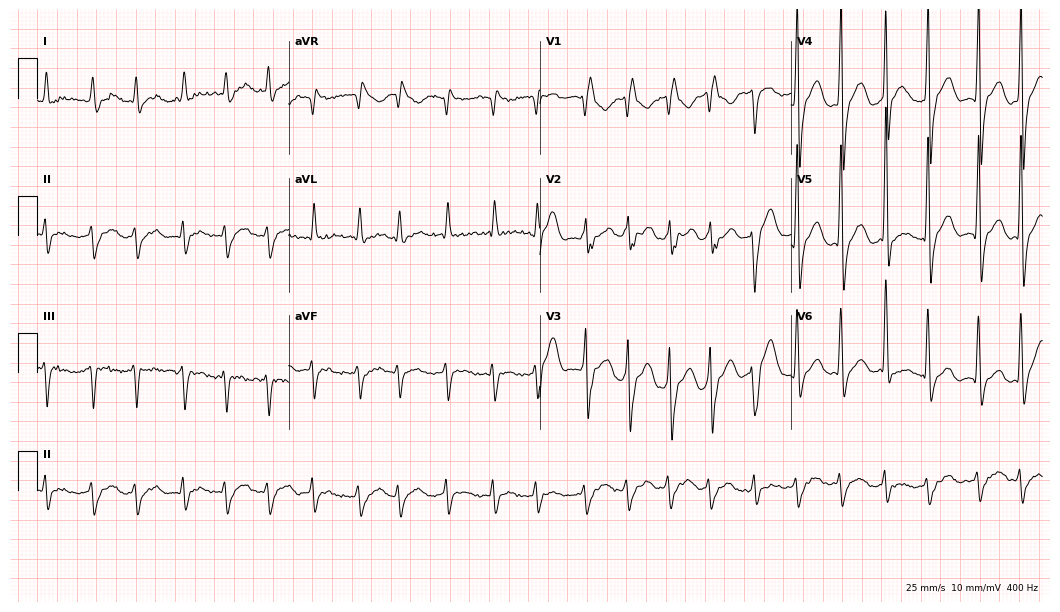
12-lead ECG from a male, 79 years old. No first-degree AV block, right bundle branch block, left bundle branch block, sinus bradycardia, atrial fibrillation or sinus tachycardia recorded for this tracing.